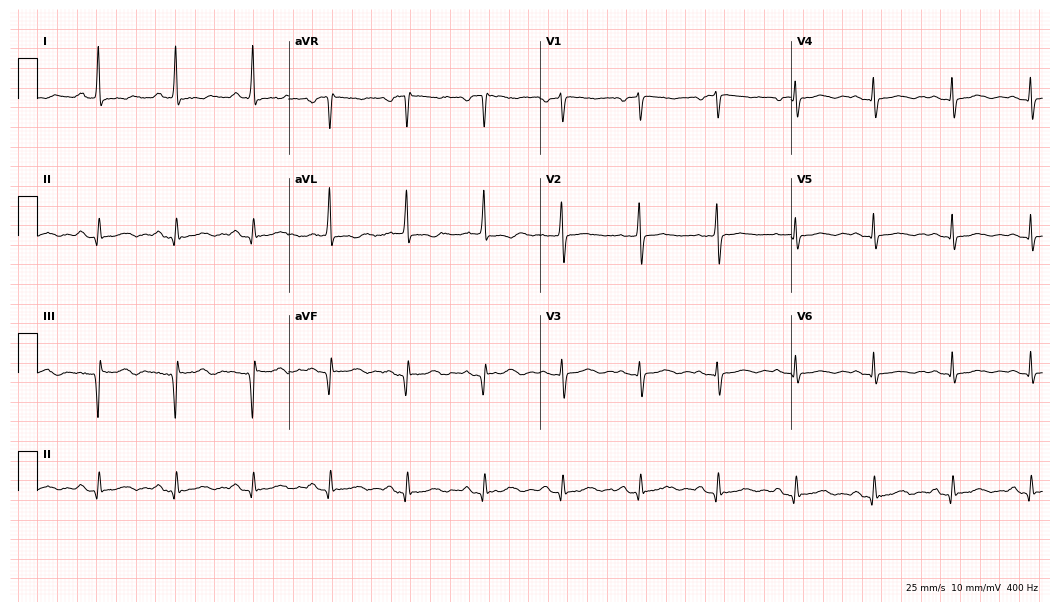
Electrocardiogram, a 76-year-old woman. Of the six screened findings (first-degree AV block, right bundle branch block (RBBB), left bundle branch block (LBBB), sinus bradycardia, atrial fibrillation (AF), sinus tachycardia), none is recorded.